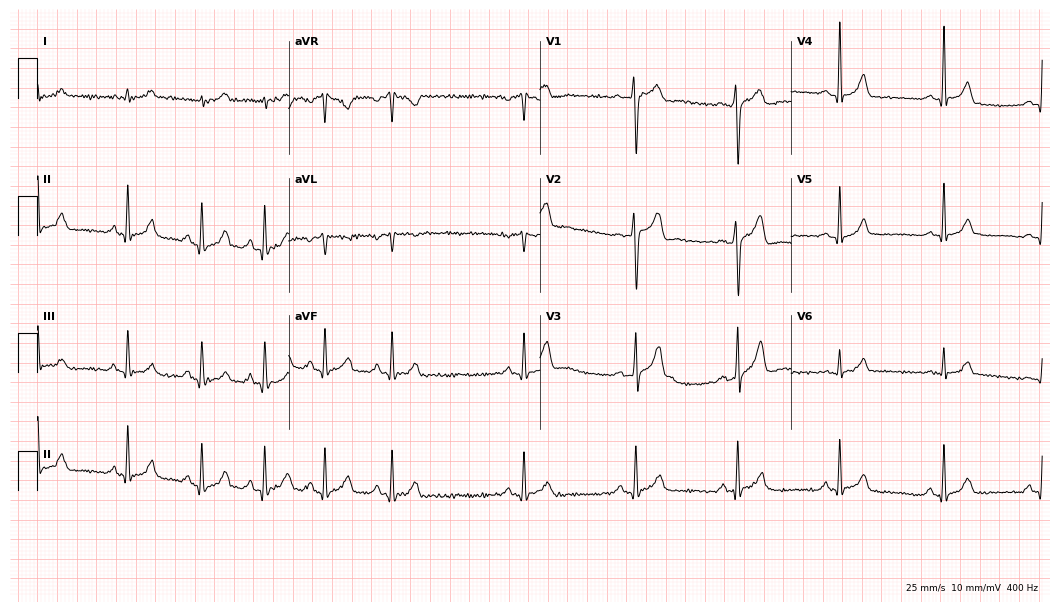
ECG — a 26-year-old man. Screened for six findings — first-degree AV block, right bundle branch block, left bundle branch block, sinus bradycardia, atrial fibrillation, sinus tachycardia — none is recorded.